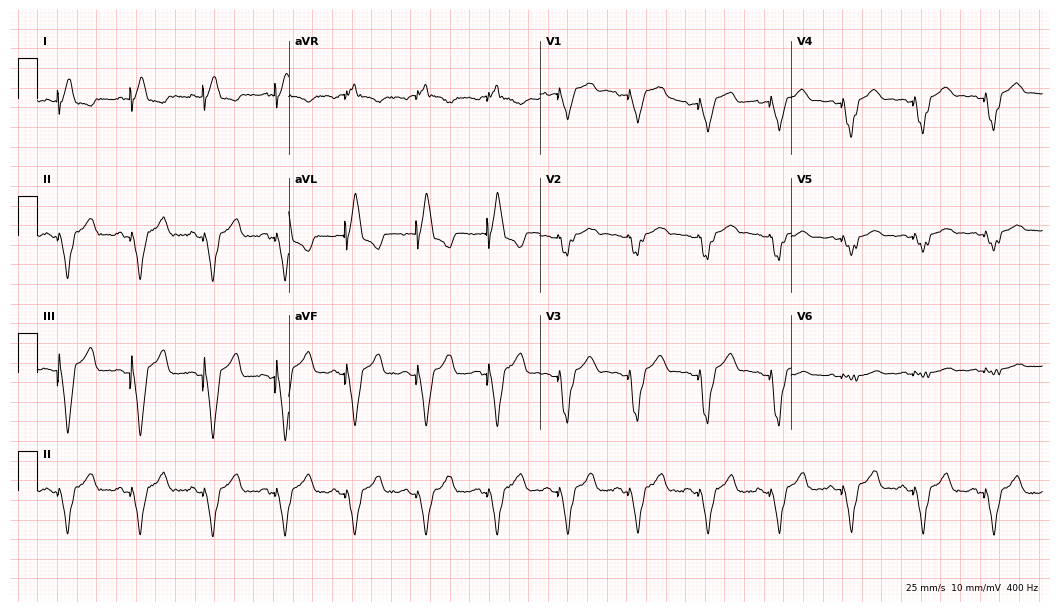
Electrocardiogram (10.2-second recording at 400 Hz), a female patient, 81 years old. Of the six screened findings (first-degree AV block, right bundle branch block, left bundle branch block, sinus bradycardia, atrial fibrillation, sinus tachycardia), none is recorded. Findings outside these six are not listed.